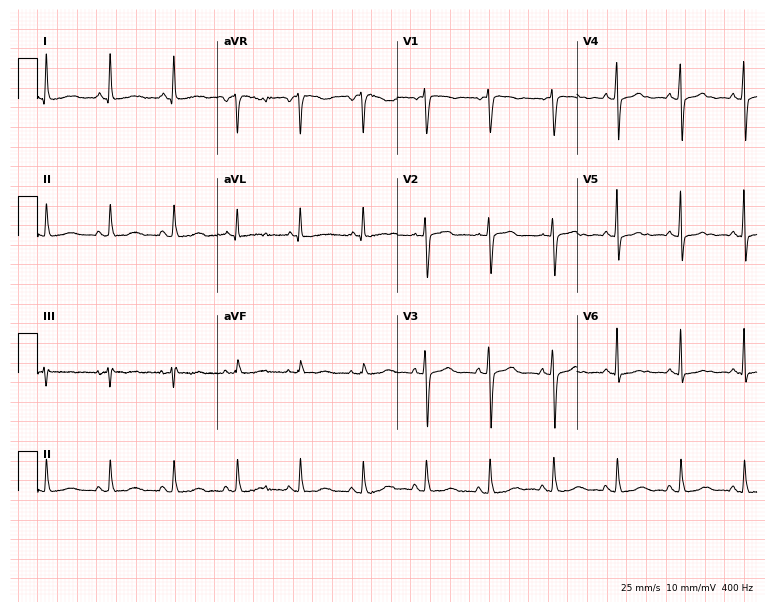
12-lead ECG from a 72-year-old woman. Recorded interpretation: within normal limits.